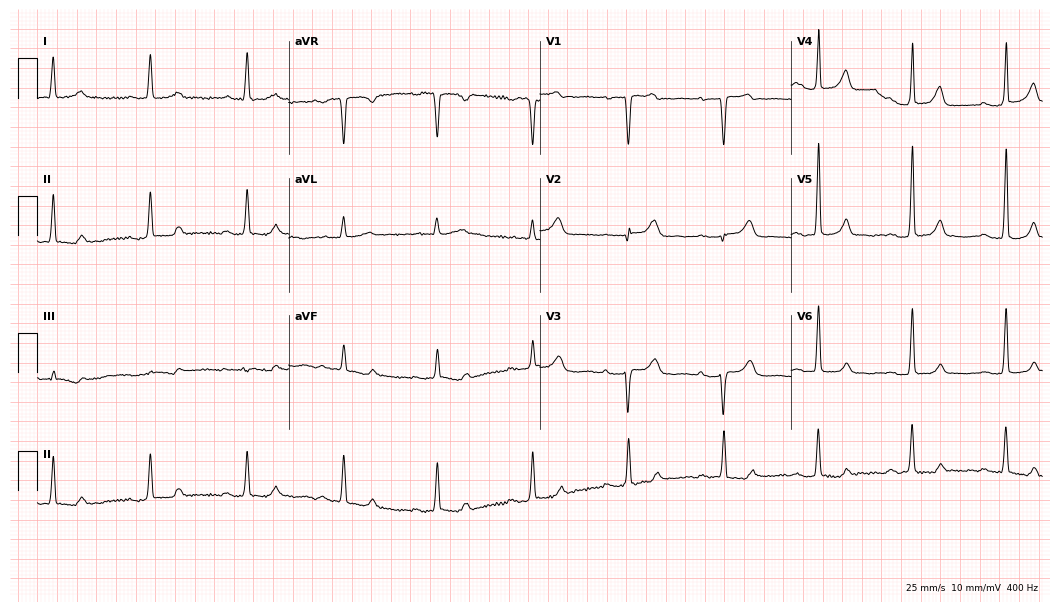
Standard 12-lead ECG recorded from a female, 71 years old. Read as a normal ECG.